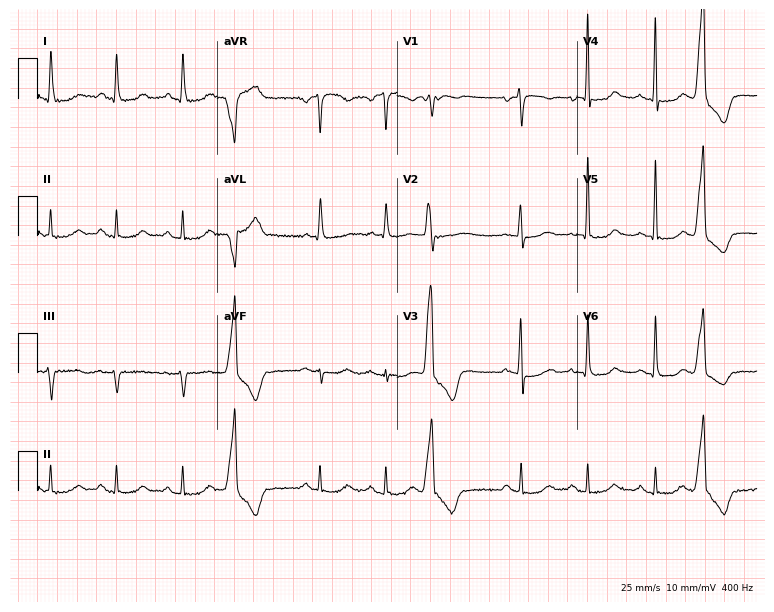
12-lead ECG from a 79-year-old female patient. Screened for six findings — first-degree AV block, right bundle branch block, left bundle branch block, sinus bradycardia, atrial fibrillation, sinus tachycardia — none is recorded.